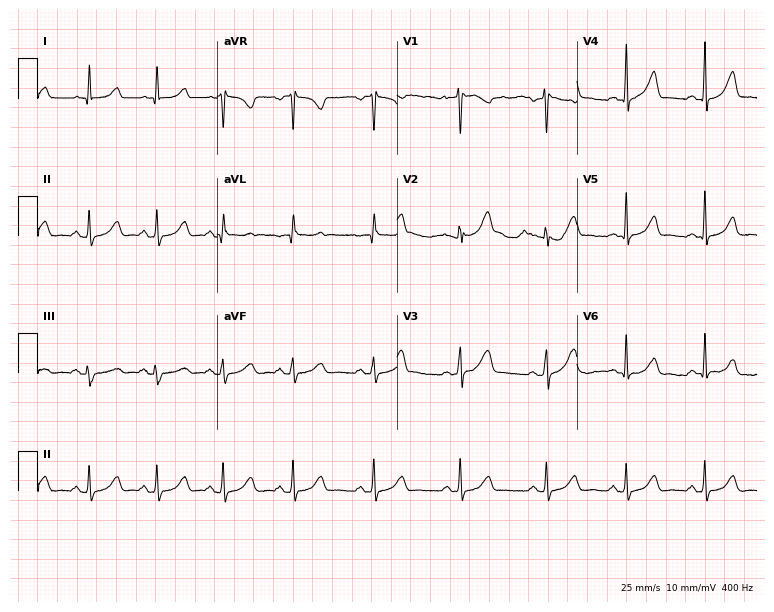
Standard 12-lead ECG recorded from a 35-year-old female patient. Read as a normal ECG.